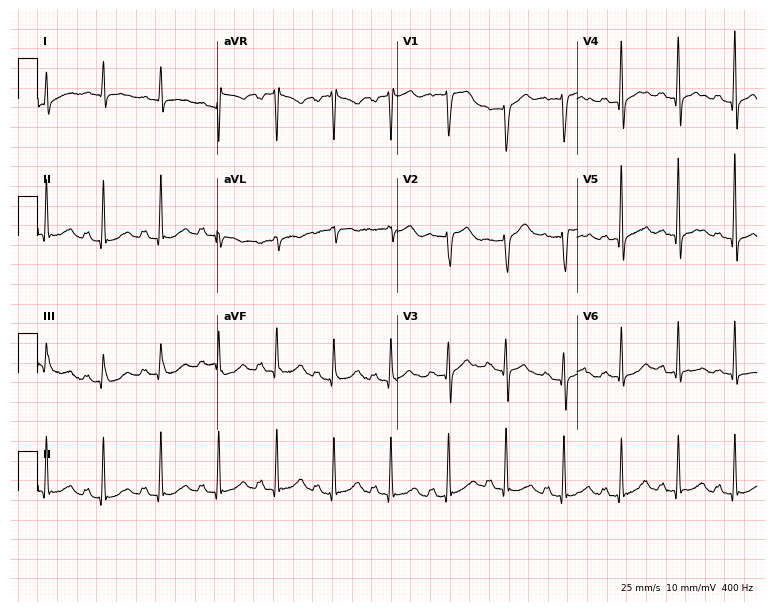
12-lead ECG from a female patient, 70 years old. Labelled as a normal ECG.